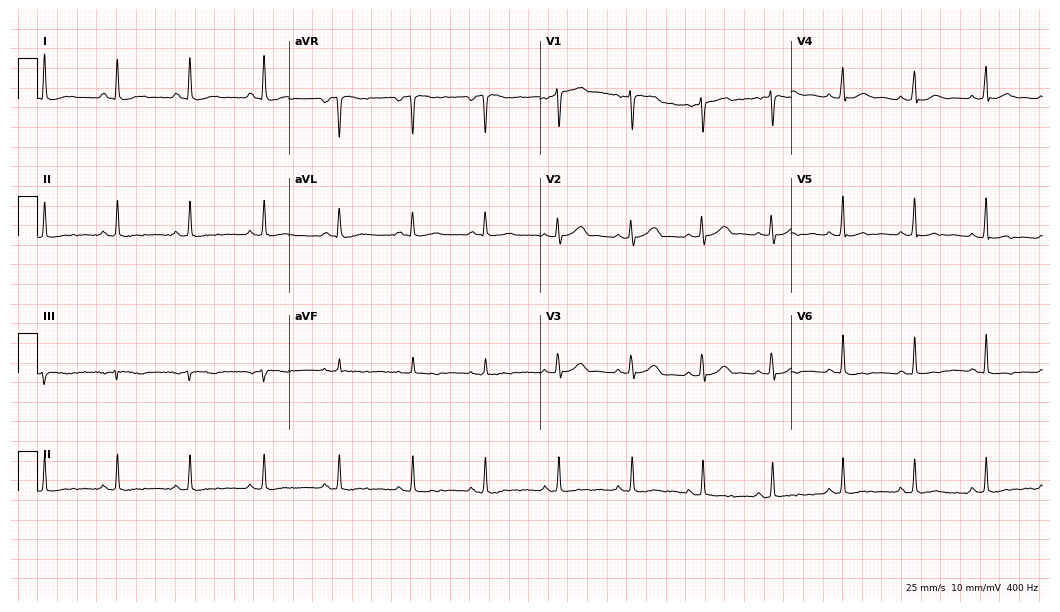
12-lead ECG (10.2-second recording at 400 Hz) from a 43-year-old woman. Screened for six findings — first-degree AV block, right bundle branch block, left bundle branch block, sinus bradycardia, atrial fibrillation, sinus tachycardia — none is recorded.